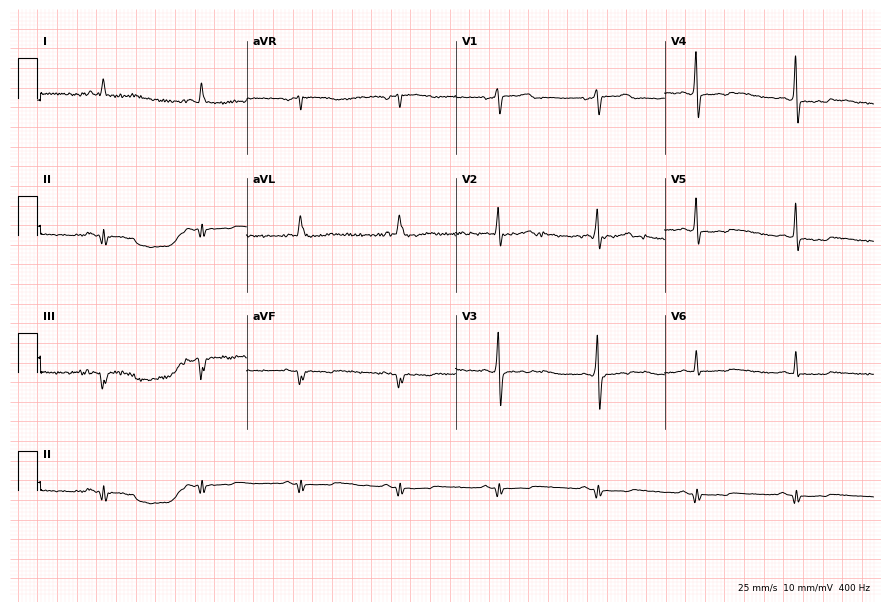
12-lead ECG from a 71-year-old male. No first-degree AV block, right bundle branch block, left bundle branch block, sinus bradycardia, atrial fibrillation or sinus tachycardia recorded for this tracing. Findings outside these six are not listed.